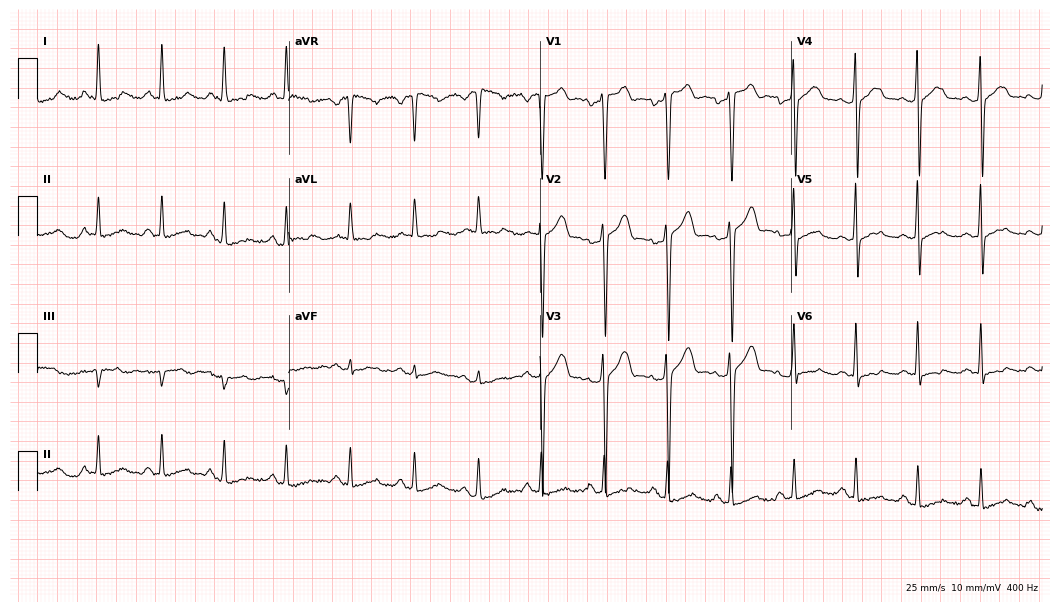
Resting 12-lead electrocardiogram. Patient: a 39-year-old female. Read as a normal ECG.